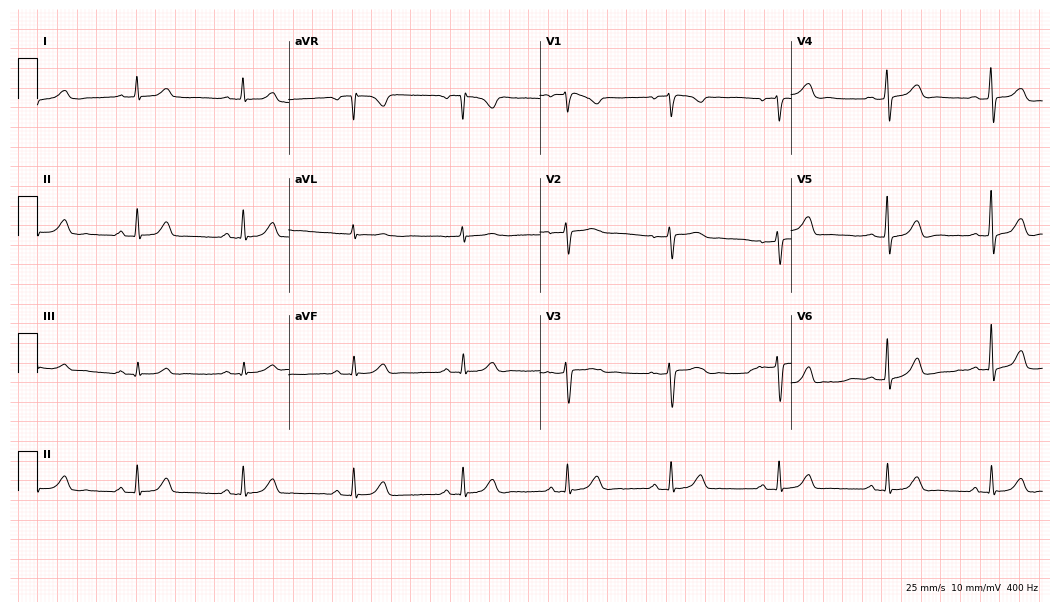
Resting 12-lead electrocardiogram. Patient: a 49-year-old woman. Read as a normal ECG.